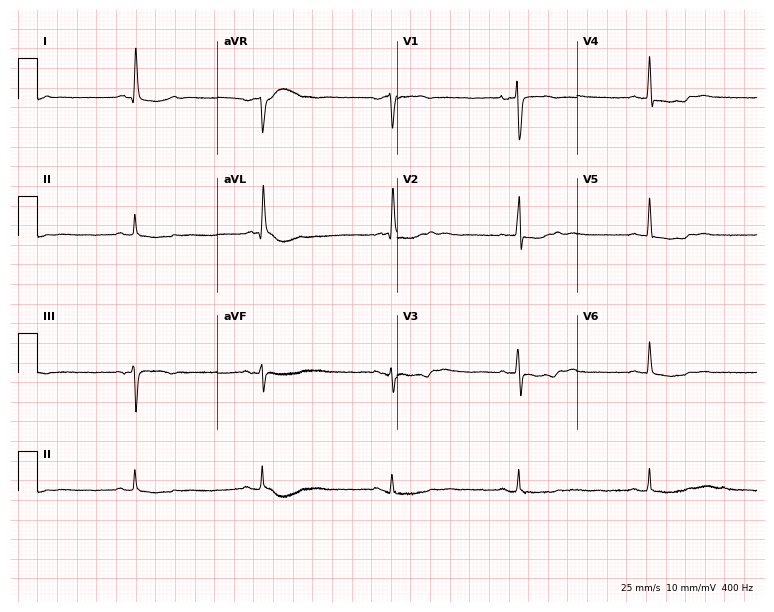
ECG — an 85-year-old woman. Screened for six findings — first-degree AV block, right bundle branch block (RBBB), left bundle branch block (LBBB), sinus bradycardia, atrial fibrillation (AF), sinus tachycardia — none is recorded. Findings outside these six are not listed.